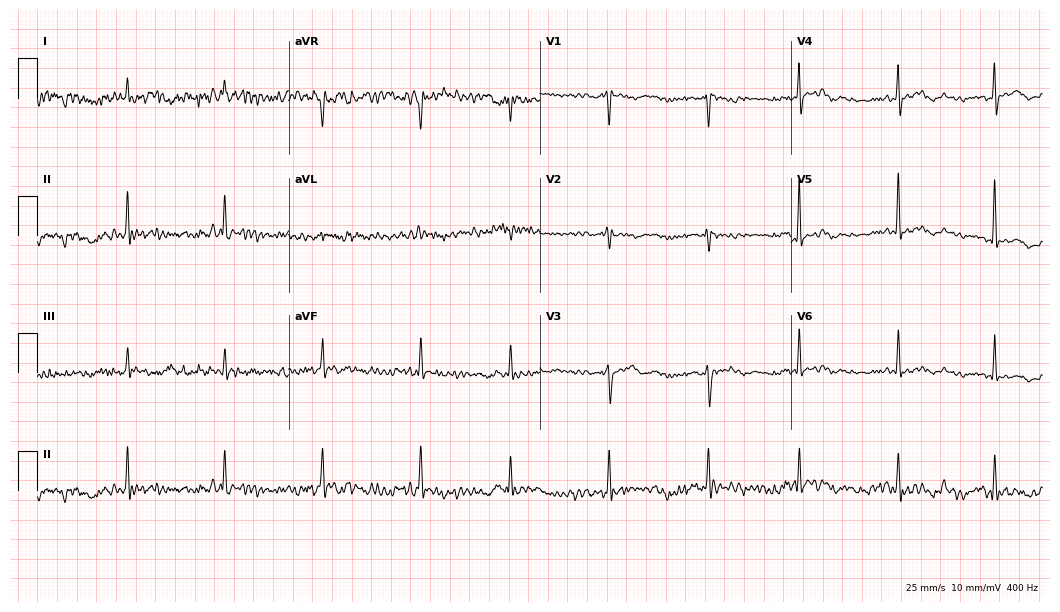
12-lead ECG from a 37-year-old female patient (10.2-second recording at 400 Hz). No first-degree AV block, right bundle branch block (RBBB), left bundle branch block (LBBB), sinus bradycardia, atrial fibrillation (AF) or sinus tachycardia recorded for this tracing. Only these six findings were labelled.